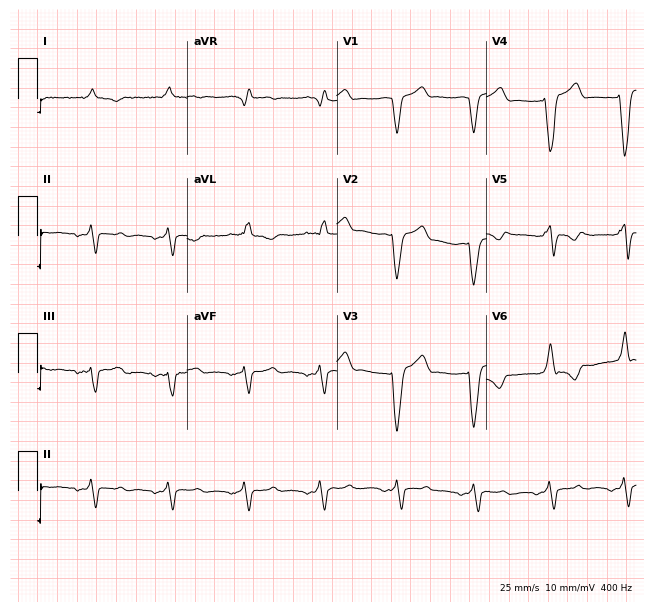
12-lead ECG (6.1-second recording at 400 Hz) from a 74-year-old man. Screened for six findings — first-degree AV block, right bundle branch block, left bundle branch block, sinus bradycardia, atrial fibrillation, sinus tachycardia — none is recorded.